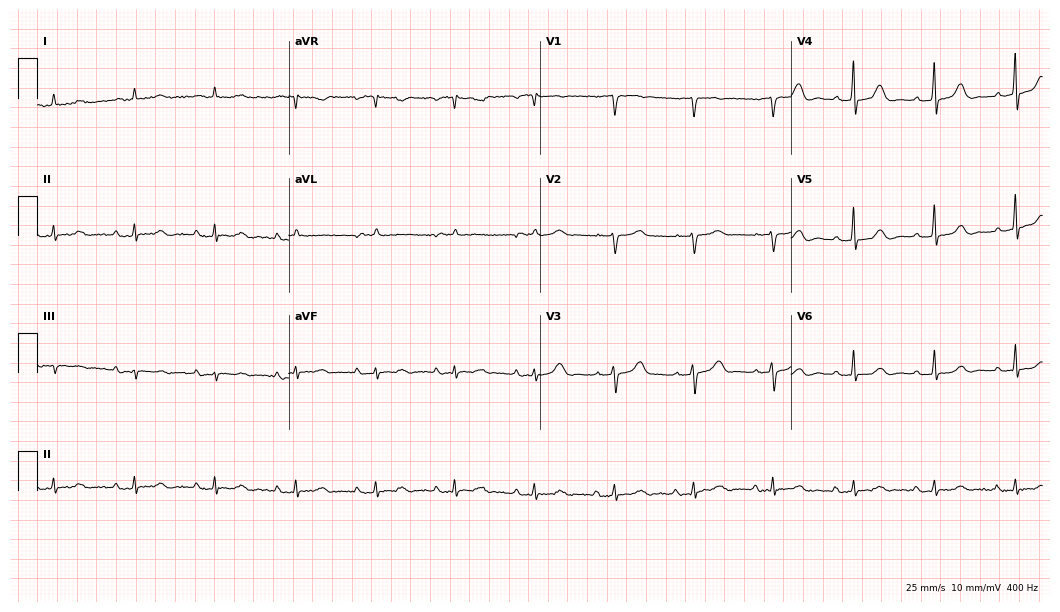
12-lead ECG from an 81-year-old male. No first-degree AV block, right bundle branch block, left bundle branch block, sinus bradycardia, atrial fibrillation or sinus tachycardia recorded for this tracing.